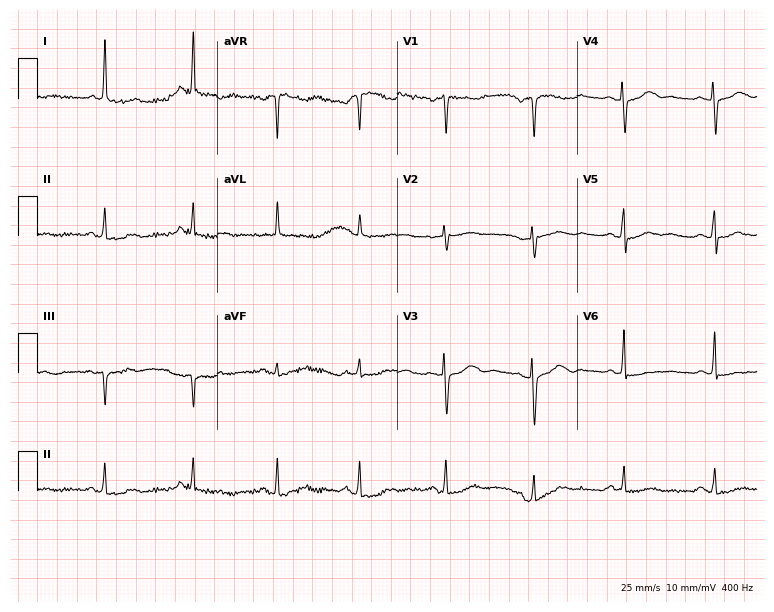
Electrocardiogram (7.3-second recording at 400 Hz), a 66-year-old female. Of the six screened findings (first-degree AV block, right bundle branch block (RBBB), left bundle branch block (LBBB), sinus bradycardia, atrial fibrillation (AF), sinus tachycardia), none is recorded.